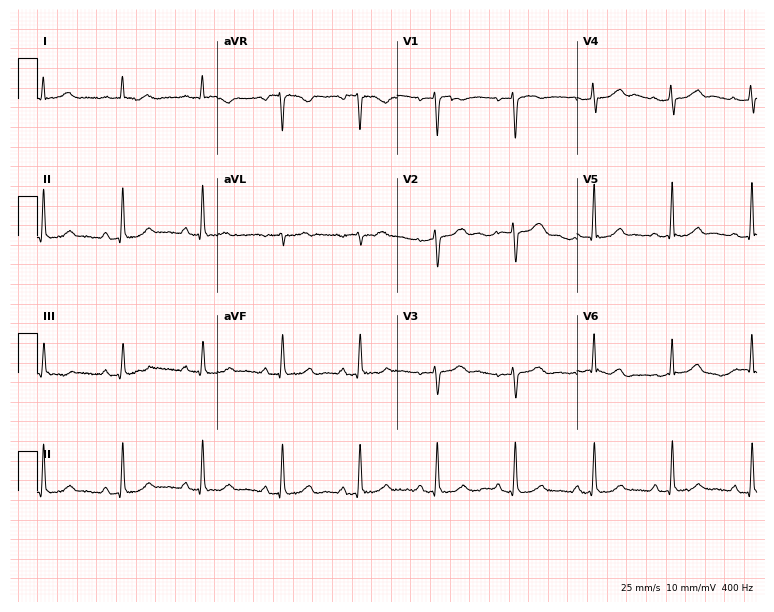
12-lead ECG from a 41-year-old woman (7.3-second recording at 400 Hz). Recorded interpretation: within normal limits.